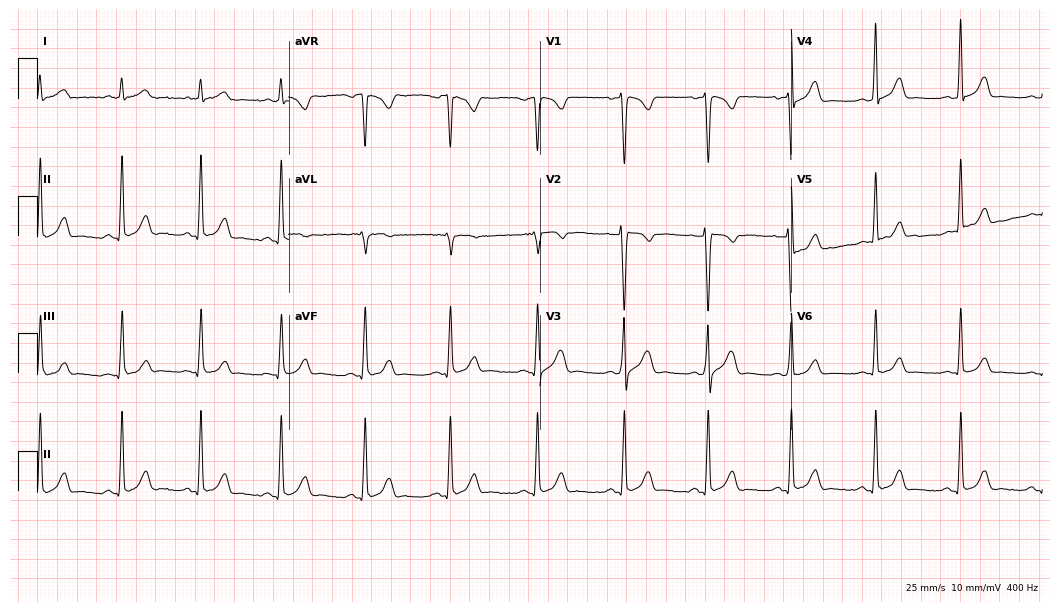
Resting 12-lead electrocardiogram (10.2-second recording at 400 Hz). Patient: a 27-year-old man. Read as a normal ECG.